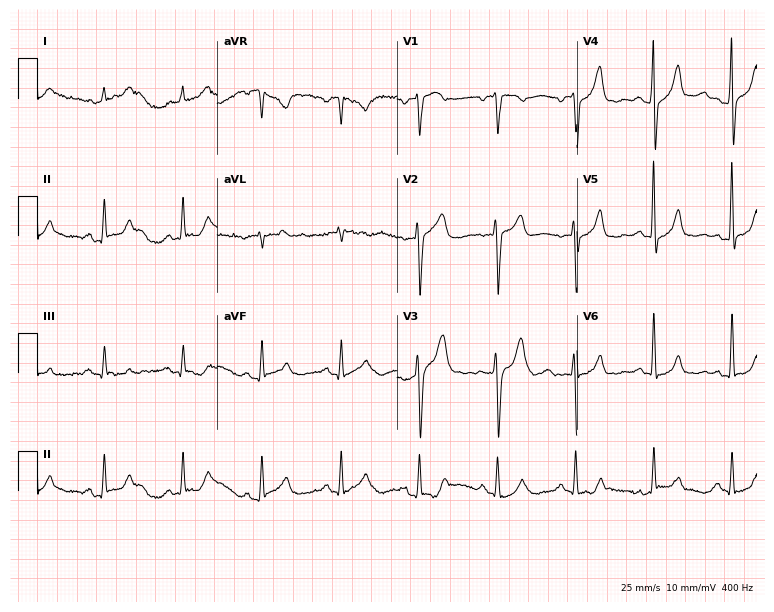
Resting 12-lead electrocardiogram (7.3-second recording at 400 Hz). Patient: a man, 75 years old. Read as a normal ECG.